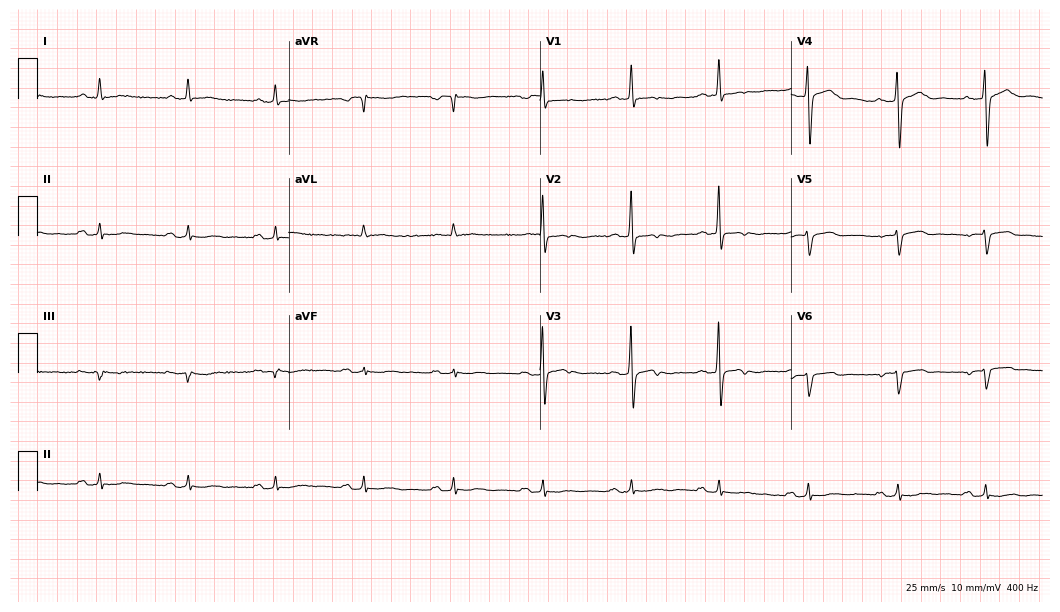
ECG — a male patient, 71 years old. Screened for six findings — first-degree AV block, right bundle branch block, left bundle branch block, sinus bradycardia, atrial fibrillation, sinus tachycardia — none is recorded.